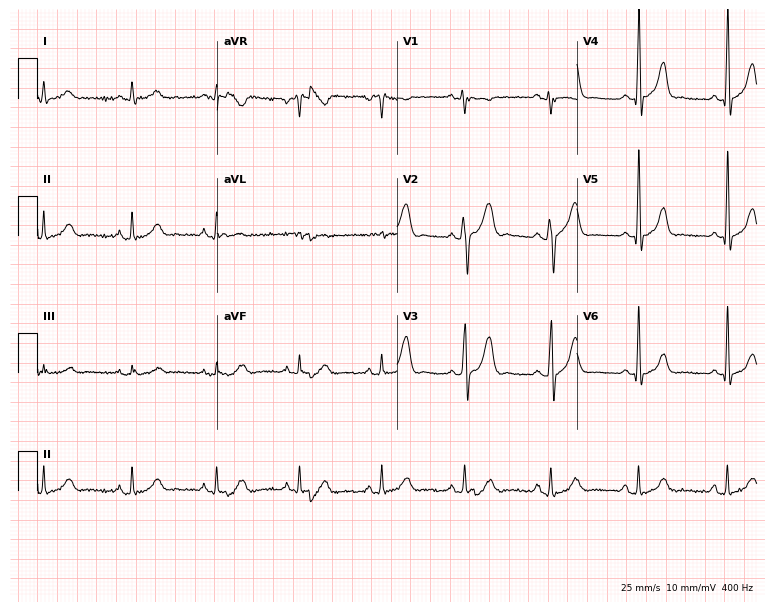
Electrocardiogram, a man, 42 years old. Overall reading on record: normal ECG.